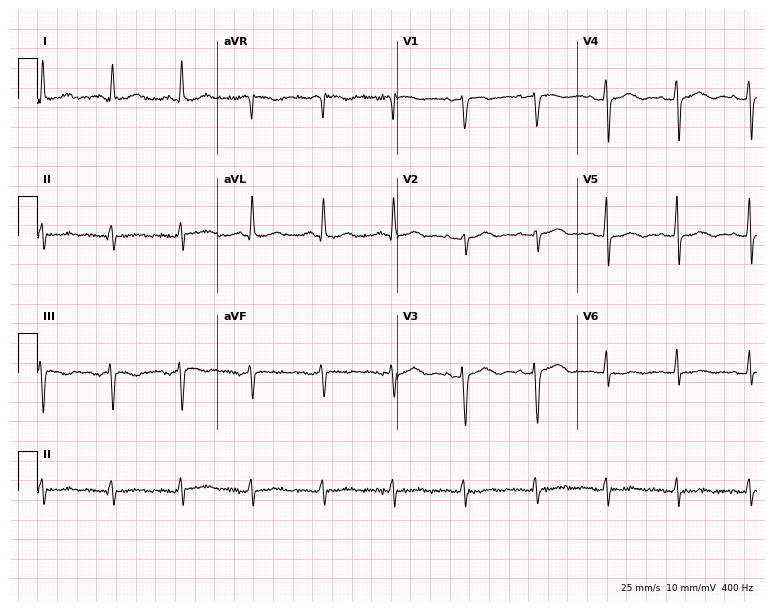
Resting 12-lead electrocardiogram (7.3-second recording at 400 Hz). Patient: a woman, 68 years old. Read as a normal ECG.